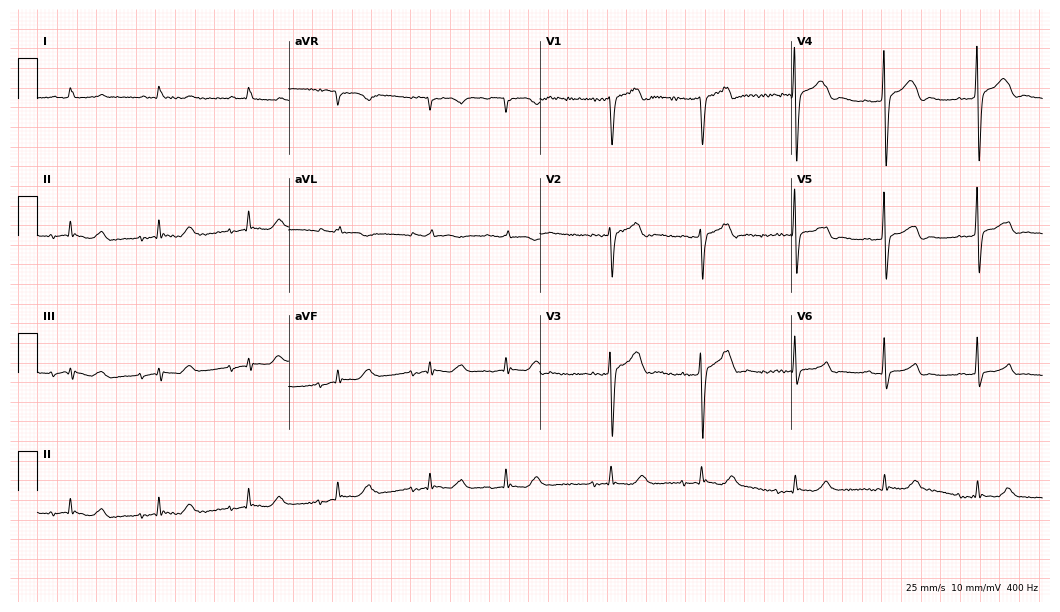
Resting 12-lead electrocardiogram (10.2-second recording at 400 Hz). Patient: an 85-year-old male. Read as a normal ECG.